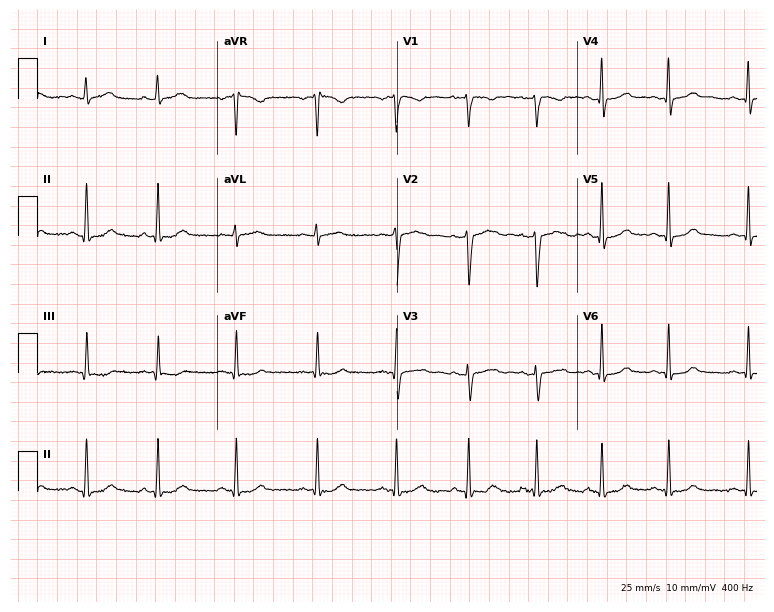
ECG (7.3-second recording at 400 Hz) — a 46-year-old female patient. Labelled as a normal ECG.